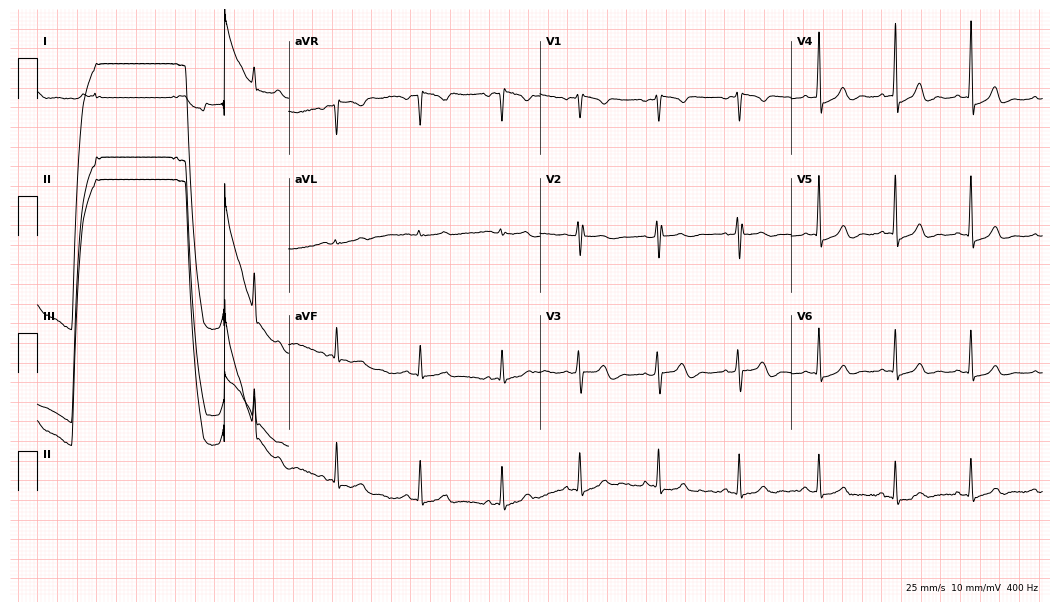
Standard 12-lead ECG recorded from a female patient, 26 years old (10.2-second recording at 400 Hz). Read as a normal ECG.